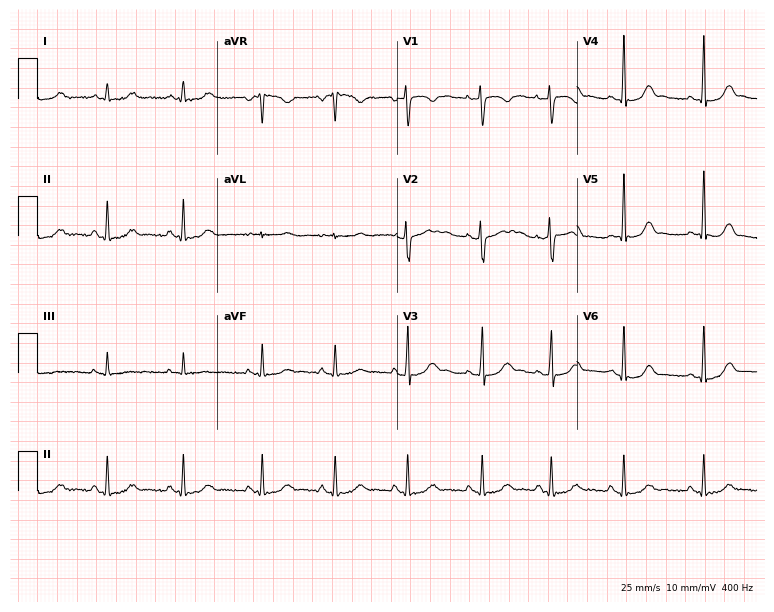
Electrocardiogram (7.3-second recording at 400 Hz), a female, 21 years old. Of the six screened findings (first-degree AV block, right bundle branch block (RBBB), left bundle branch block (LBBB), sinus bradycardia, atrial fibrillation (AF), sinus tachycardia), none is recorded. Findings outside these six are not listed.